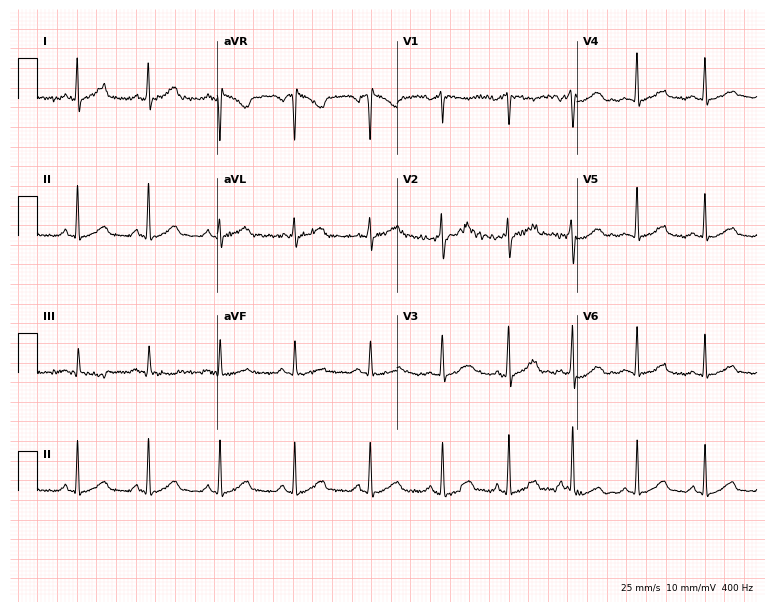
12-lead ECG (7.3-second recording at 400 Hz) from a 24-year-old woman. Labelled as a normal ECG.